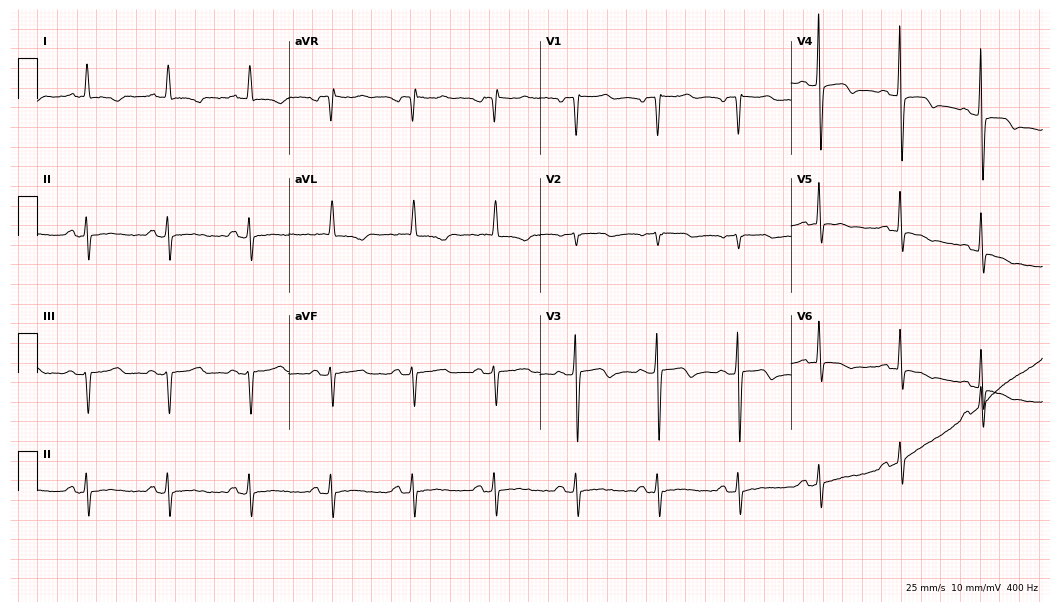
12-lead ECG from a female patient, 81 years old. Screened for six findings — first-degree AV block, right bundle branch block, left bundle branch block, sinus bradycardia, atrial fibrillation, sinus tachycardia — none is recorded. Only these six findings were labelled.